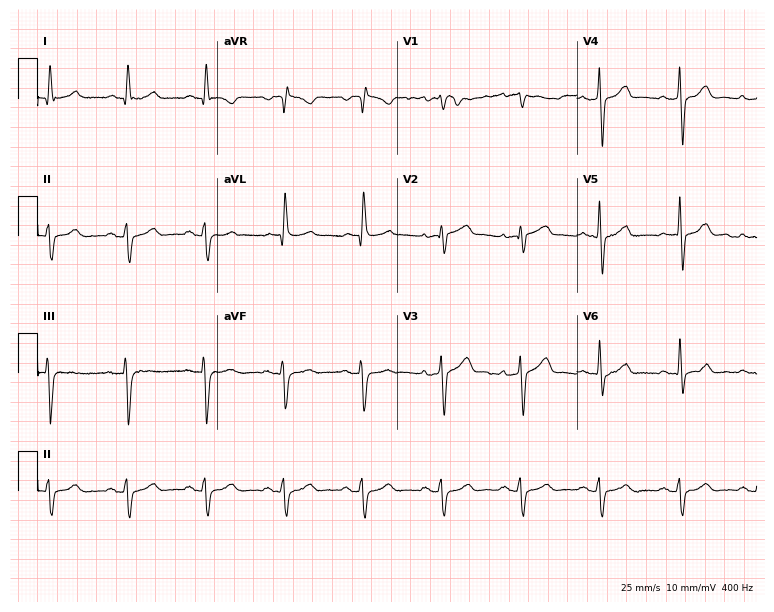
Resting 12-lead electrocardiogram (7.3-second recording at 400 Hz). Patient: a male, 75 years old. None of these six findings is recorded: first-degree AV block, right bundle branch block, left bundle branch block, sinus bradycardia, atrial fibrillation, sinus tachycardia.